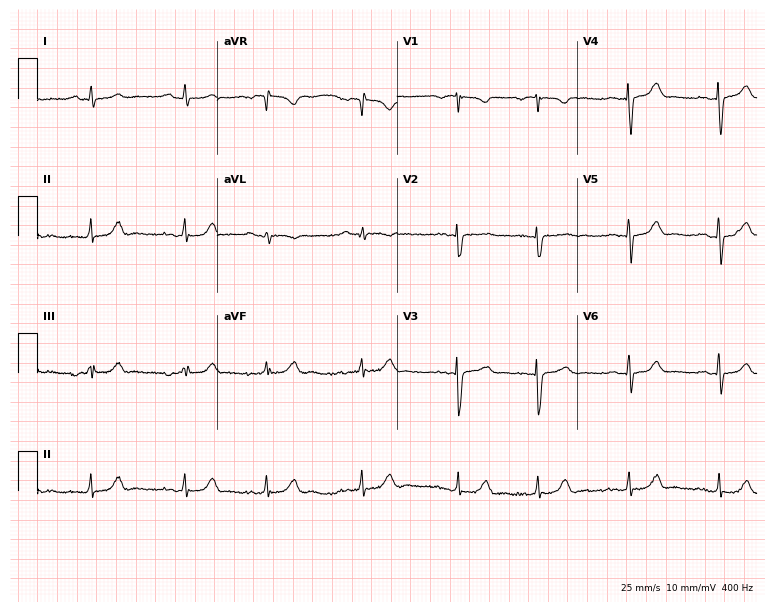
Standard 12-lead ECG recorded from a female patient, 23 years old. Read as a normal ECG.